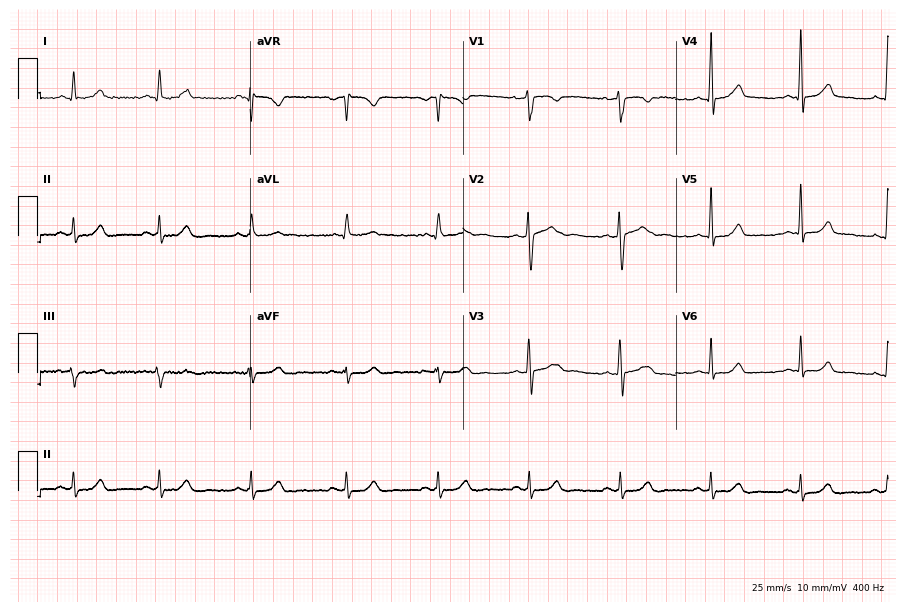
12-lead ECG (8.7-second recording at 400 Hz) from a 33-year-old female. Screened for six findings — first-degree AV block, right bundle branch block, left bundle branch block, sinus bradycardia, atrial fibrillation, sinus tachycardia — none is recorded. Other findings, if any, are not listed.